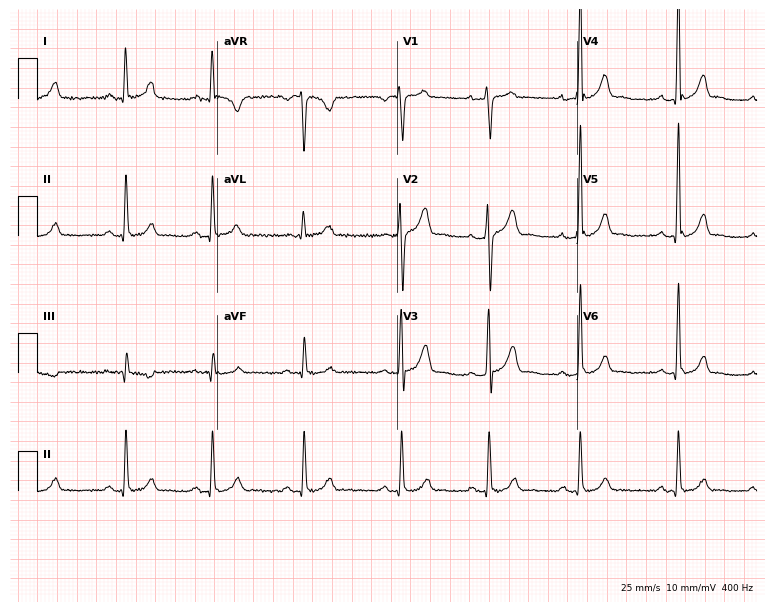
Standard 12-lead ECG recorded from a 26-year-old male patient (7.3-second recording at 400 Hz). Read as a normal ECG.